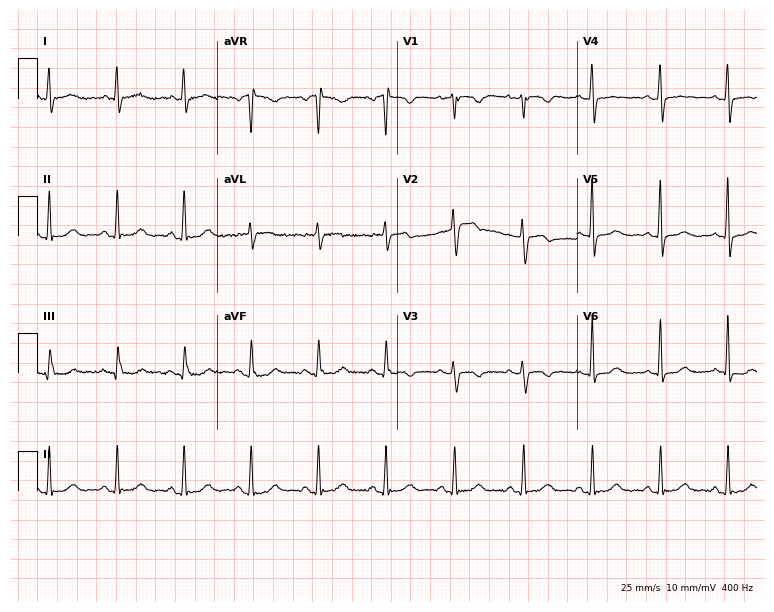
ECG (7.3-second recording at 400 Hz) — a female patient, 59 years old. Labelled as a normal ECG.